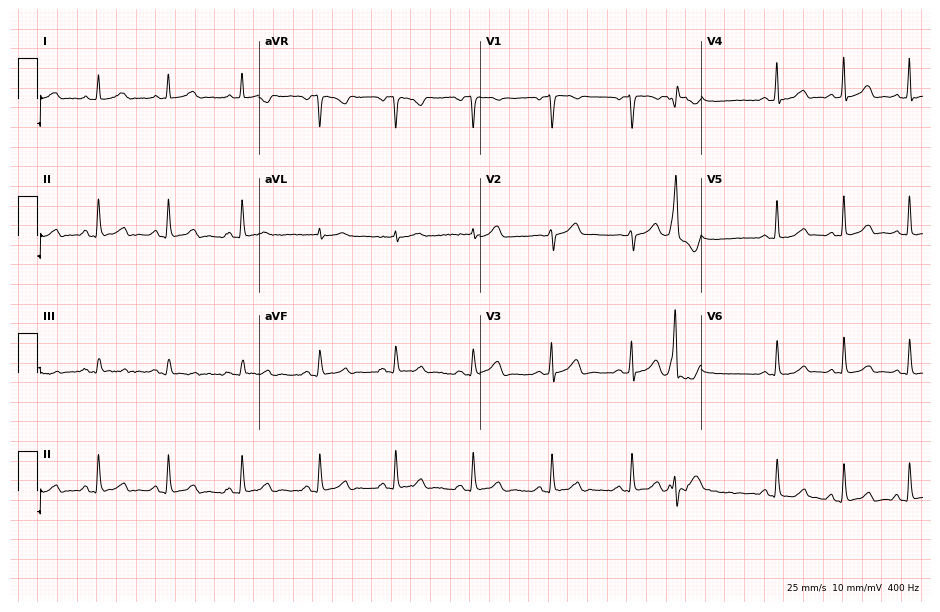
Resting 12-lead electrocardiogram (9-second recording at 400 Hz). Patient: a 53-year-old woman. None of these six findings is recorded: first-degree AV block, right bundle branch block (RBBB), left bundle branch block (LBBB), sinus bradycardia, atrial fibrillation (AF), sinus tachycardia. Other findings, if any, are not listed.